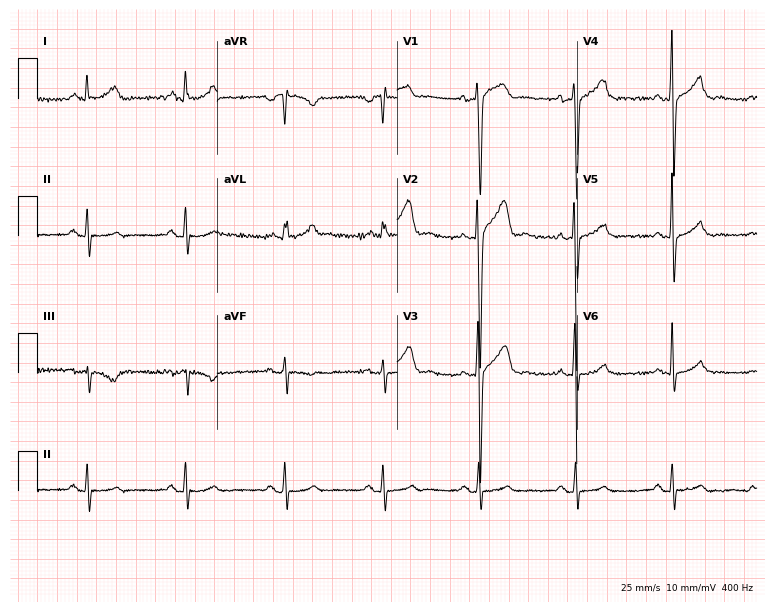
ECG — a male patient, 43 years old. Screened for six findings — first-degree AV block, right bundle branch block, left bundle branch block, sinus bradycardia, atrial fibrillation, sinus tachycardia — none is recorded.